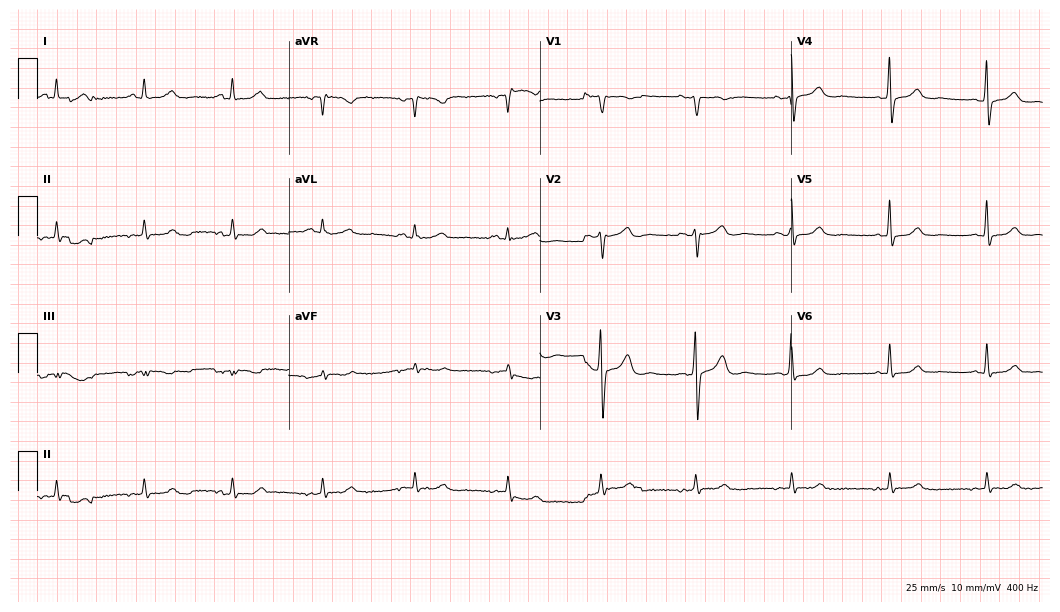
Electrocardiogram, a 69-year-old male patient. Of the six screened findings (first-degree AV block, right bundle branch block (RBBB), left bundle branch block (LBBB), sinus bradycardia, atrial fibrillation (AF), sinus tachycardia), none is recorded.